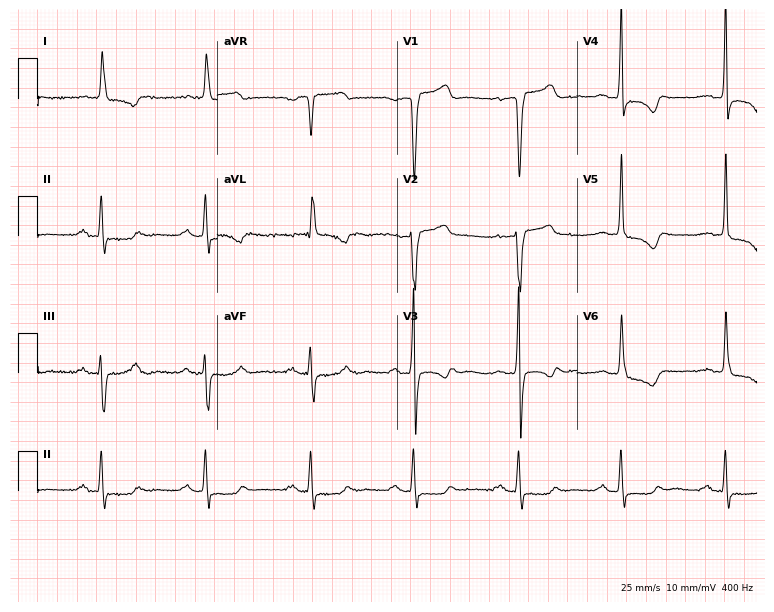
12-lead ECG from a female patient, 47 years old (7.3-second recording at 400 Hz). No first-degree AV block, right bundle branch block (RBBB), left bundle branch block (LBBB), sinus bradycardia, atrial fibrillation (AF) or sinus tachycardia recorded for this tracing.